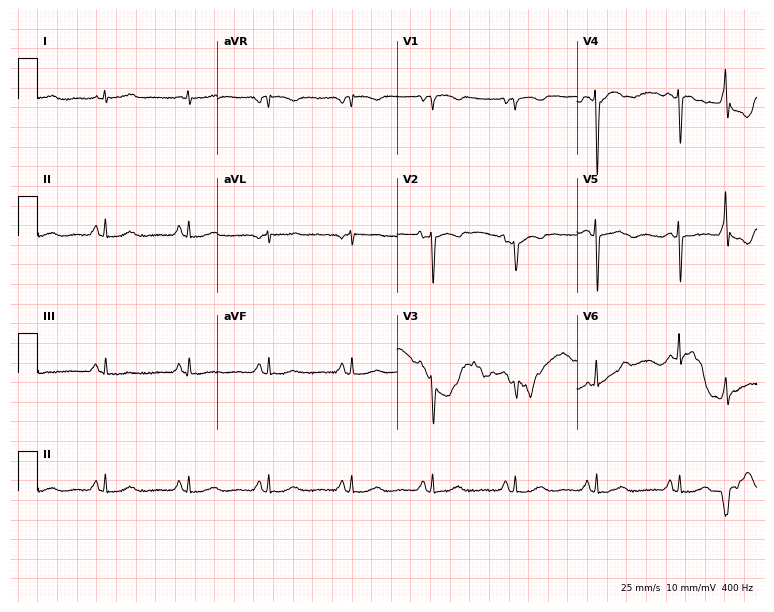
12-lead ECG from a female patient, 85 years old. Screened for six findings — first-degree AV block, right bundle branch block, left bundle branch block, sinus bradycardia, atrial fibrillation, sinus tachycardia — none is recorded.